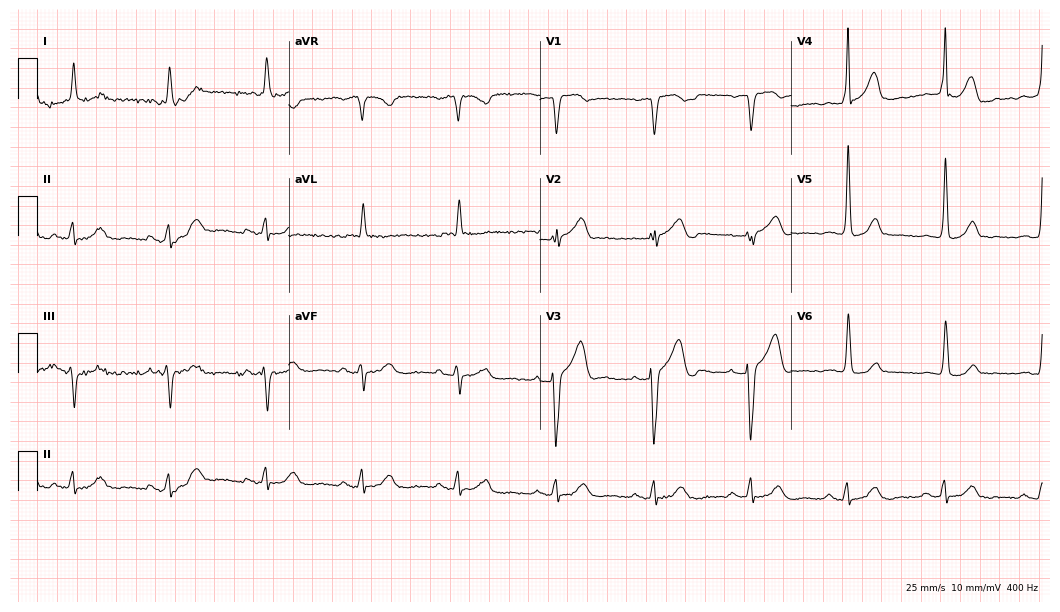
Standard 12-lead ECG recorded from a male, 82 years old. None of these six findings is recorded: first-degree AV block, right bundle branch block, left bundle branch block, sinus bradycardia, atrial fibrillation, sinus tachycardia. Only these six findings were labelled.